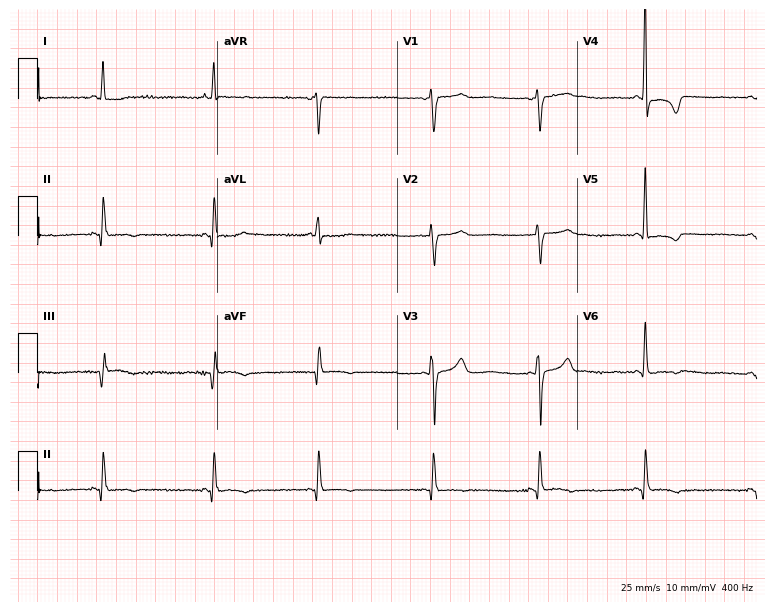
ECG — a woman, 58 years old. Screened for six findings — first-degree AV block, right bundle branch block (RBBB), left bundle branch block (LBBB), sinus bradycardia, atrial fibrillation (AF), sinus tachycardia — none is recorded.